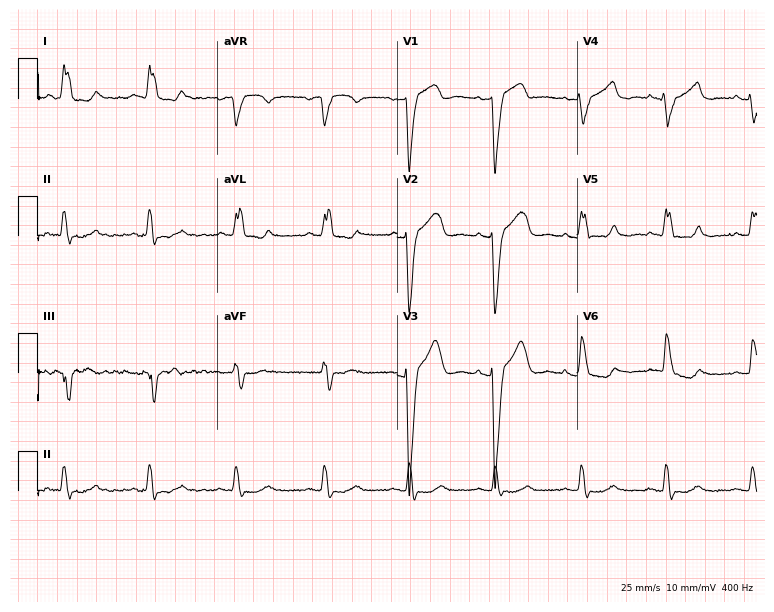
12-lead ECG (7.3-second recording at 400 Hz) from a 51-year-old female patient. Findings include left bundle branch block.